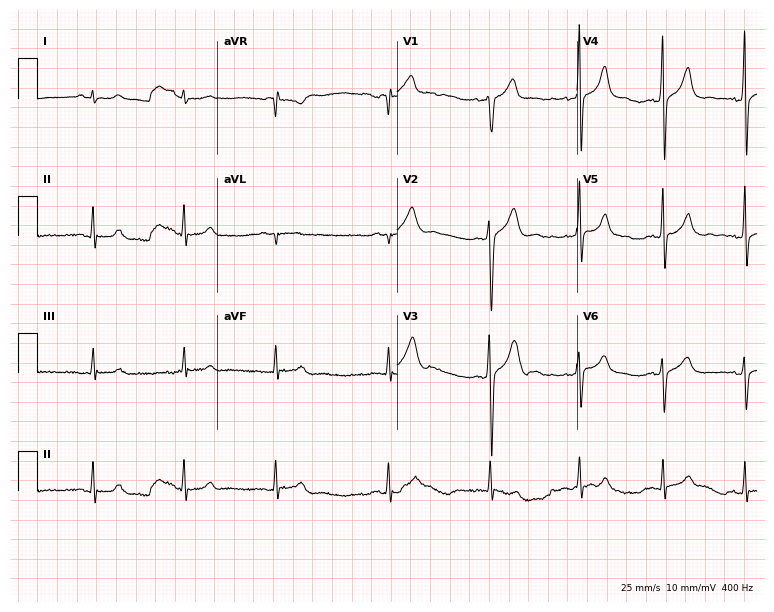
Electrocardiogram (7.3-second recording at 400 Hz), a male, 47 years old. Of the six screened findings (first-degree AV block, right bundle branch block (RBBB), left bundle branch block (LBBB), sinus bradycardia, atrial fibrillation (AF), sinus tachycardia), none is recorded.